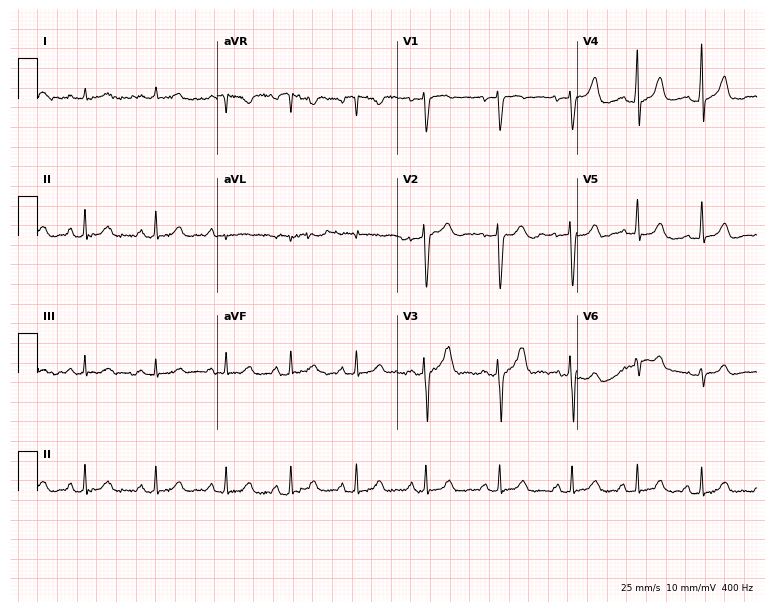
Electrocardiogram, a 36-year-old woman. Overall reading on record: normal ECG.